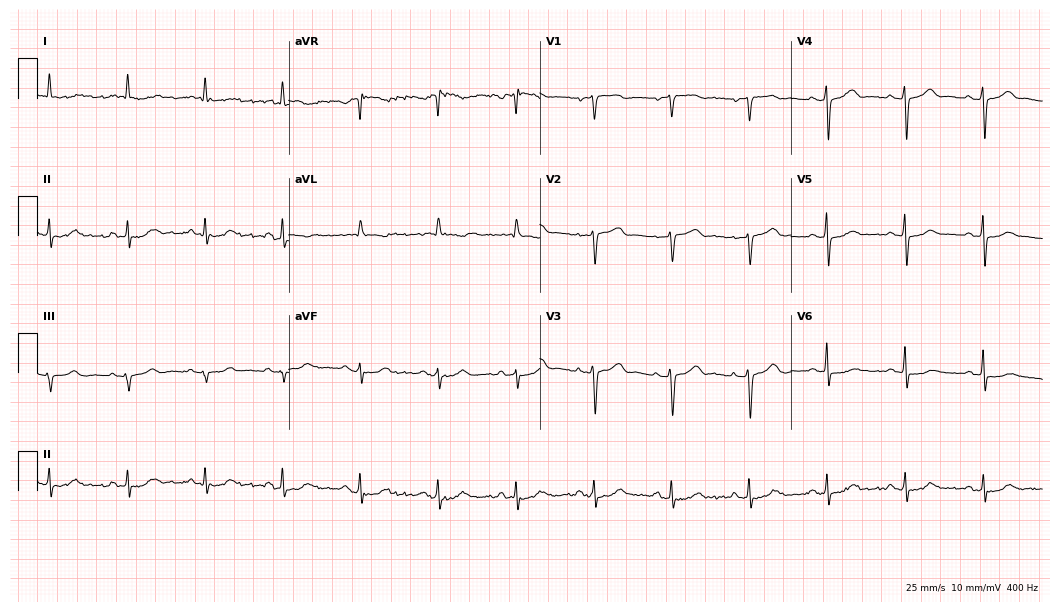
Standard 12-lead ECG recorded from an 81-year-old woman (10.2-second recording at 400 Hz). None of these six findings is recorded: first-degree AV block, right bundle branch block, left bundle branch block, sinus bradycardia, atrial fibrillation, sinus tachycardia. Findings outside these six are not listed.